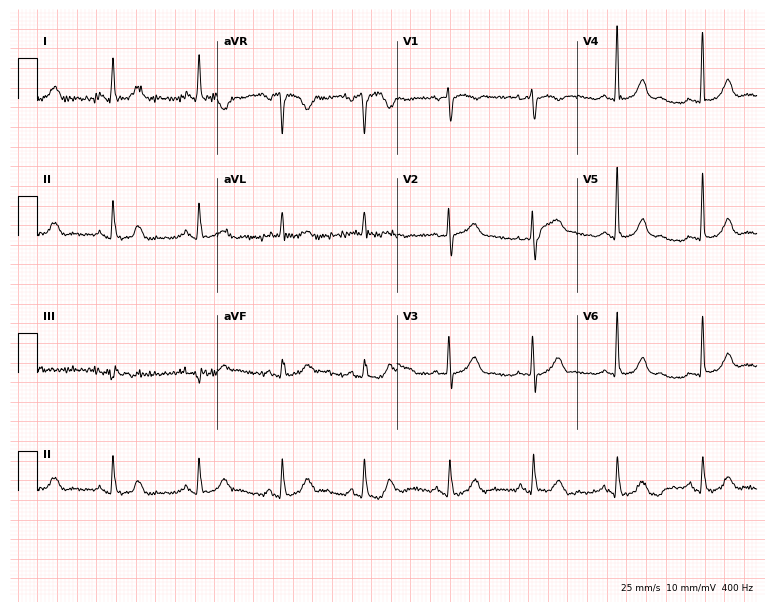
12-lead ECG (7.3-second recording at 400 Hz) from a 65-year-old female. Labelled as a normal ECG.